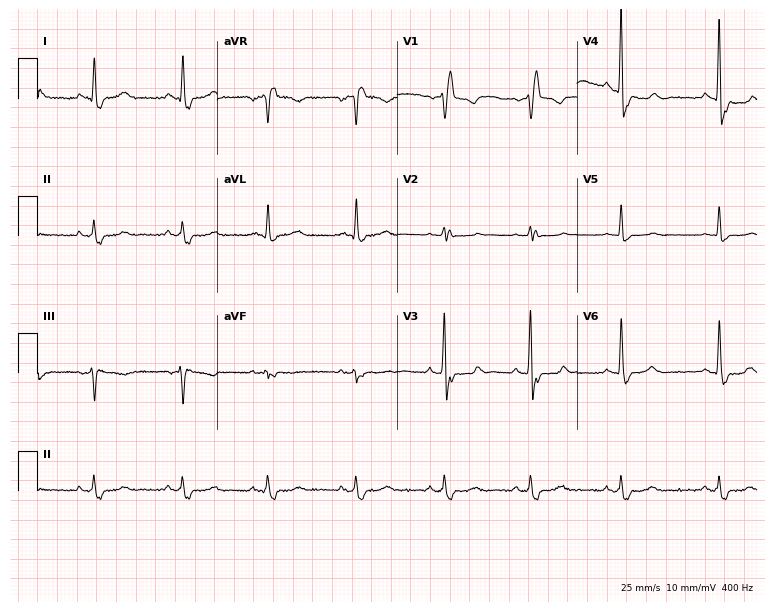
12-lead ECG from a 73-year-old man. Findings include right bundle branch block.